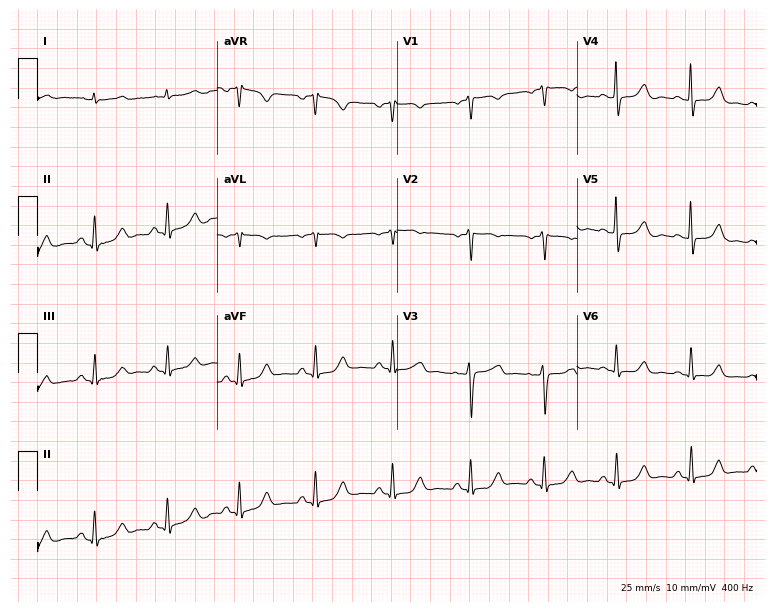
Electrocardiogram (7.3-second recording at 400 Hz), a 64-year-old female. Of the six screened findings (first-degree AV block, right bundle branch block, left bundle branch block, sinus bradycardia, atrial fibrillation, sinus tachycardia), none is recorded. Findings outside these six are not listed.